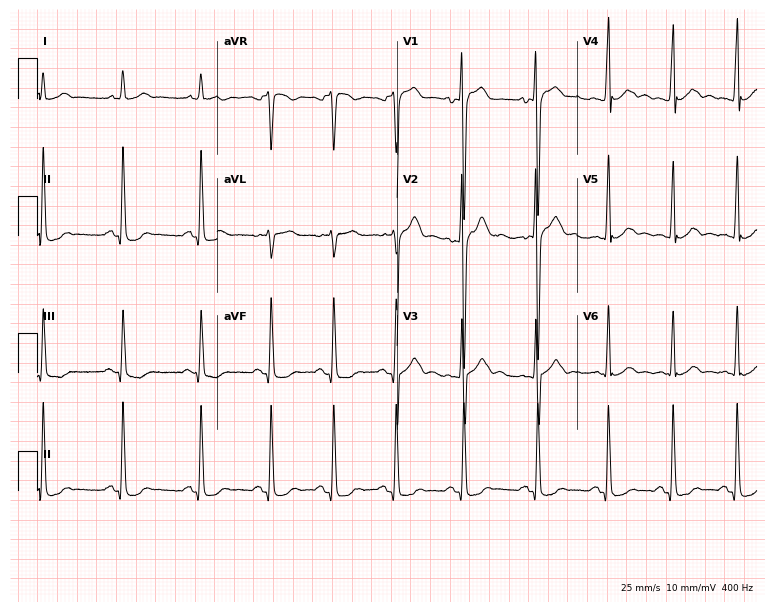
12-lead ECG from a man, 18 years old (7.3-second recording at 400 Hz). Recorded interpretation: within normal limits.